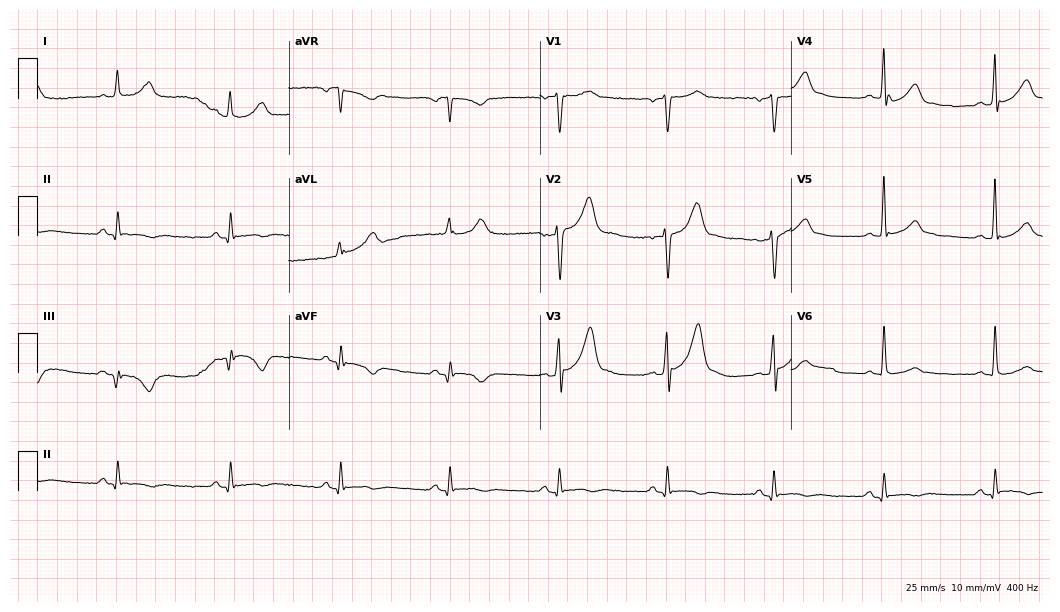
ECG — a 54-year-old male patient. Screened for six findings — first-degree AV block, right bundle branch block (RBBB), left bundle branch block (LBBB), sinus bradycardia, atrial fibrillation (AF), sinus tachycardia — none is recorded. Only these six findings were labelled.